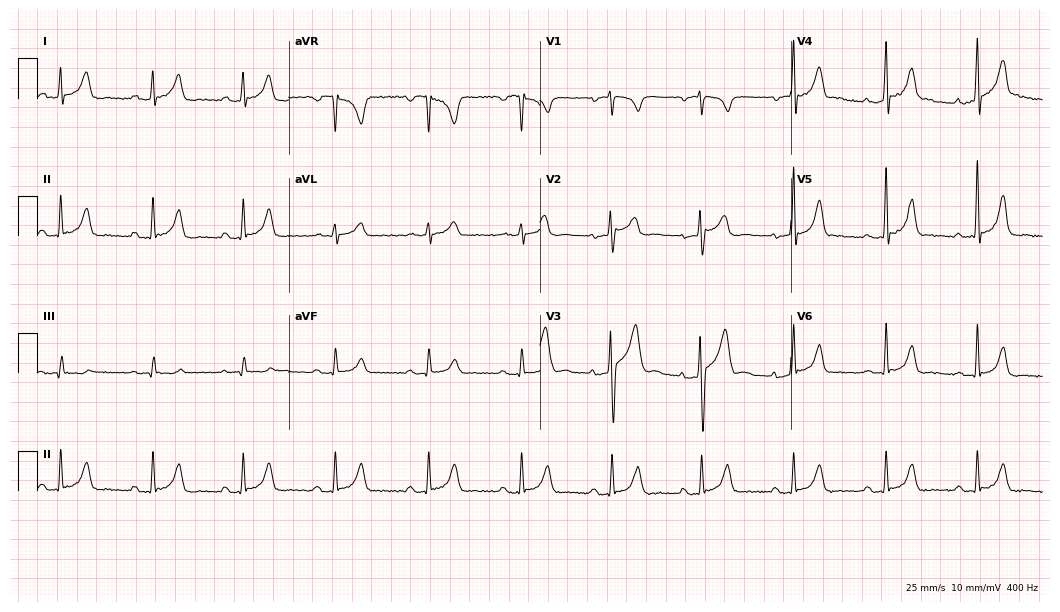
ECG (10.2-second recording at 400 Hz) — a 47-year-old male. Labelled as a normal ECG.